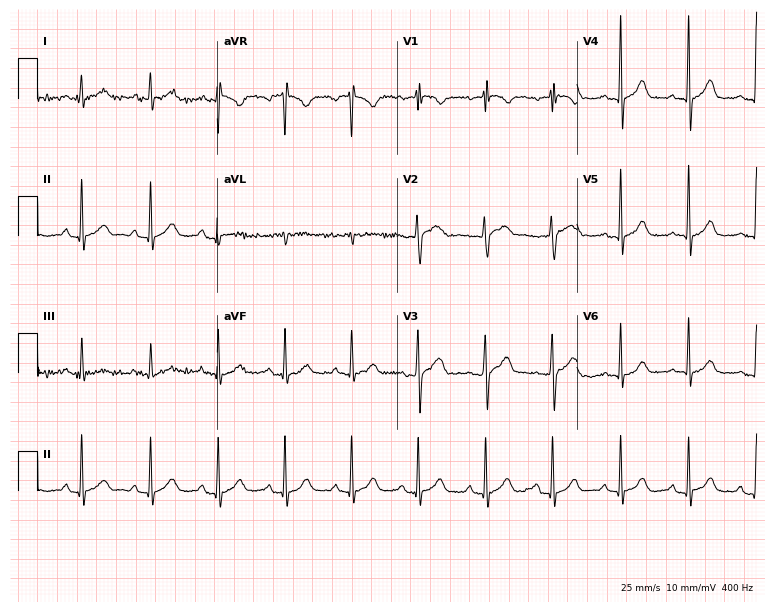
12-lead ECG from a 75-year-old female patient (7.3-second recording at 400 Hz). No first-degree AV block, right bundle branch block (RBBB), left bundle branch block (LBBB), sinus bradycardia, atrial fibrillation (AF) or sinus tachycardia recorded for this tracing.